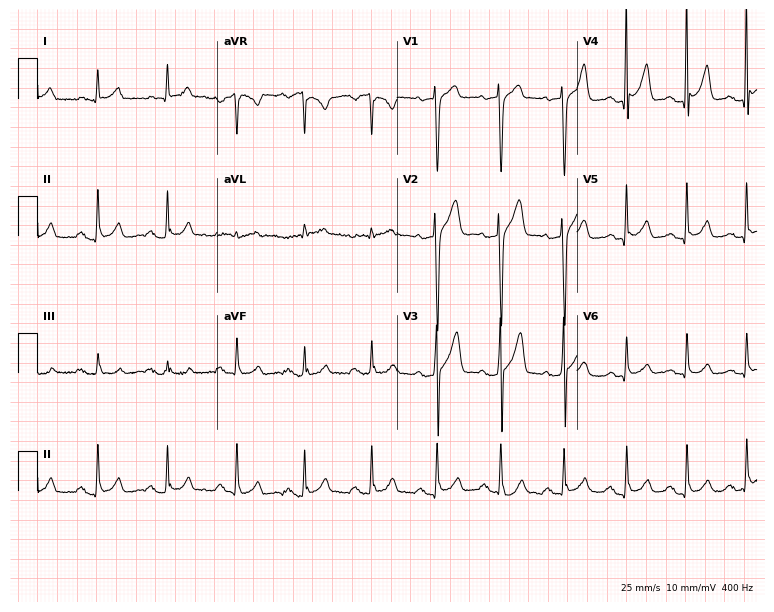
Resting 12-lead electrocardiogram (7.3-second recording at 400 Hz). Patient: a 59-year-old man. None of these six findings is recorded: first-degree AV block, right bundle branch block, left bundle branch block, sinus bradycardia, atrial fibrillation, sinus tachycardia.